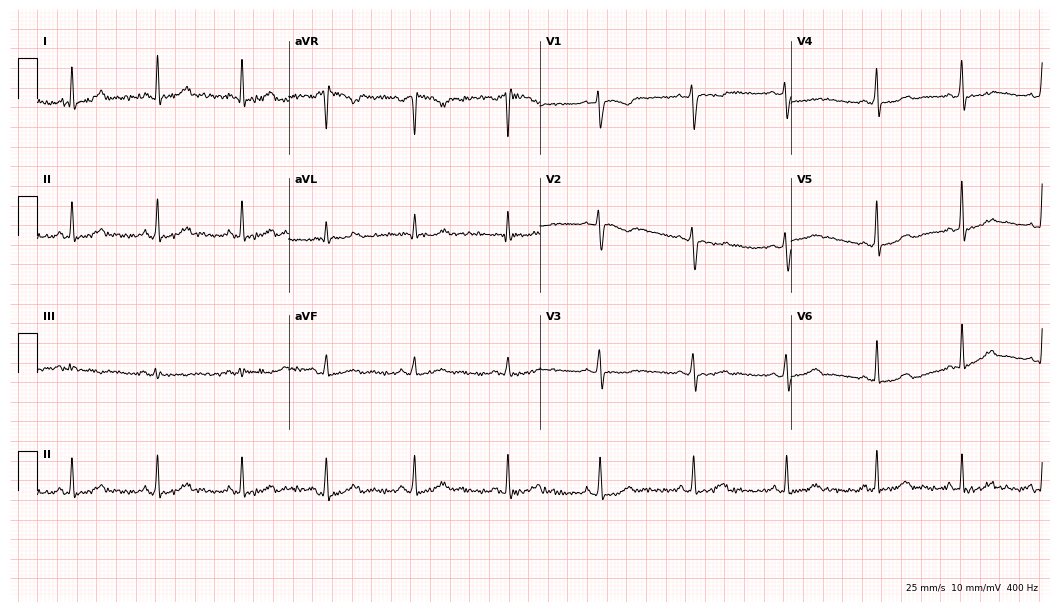
Standard 12-lead ECG recorded from a female, 40 years old. None of these six findings is recorded: first-degree AV block, right bundle branch block, left bundle branch block, sinus bradycardia, atrial fibrillation, sinus tachycardia.